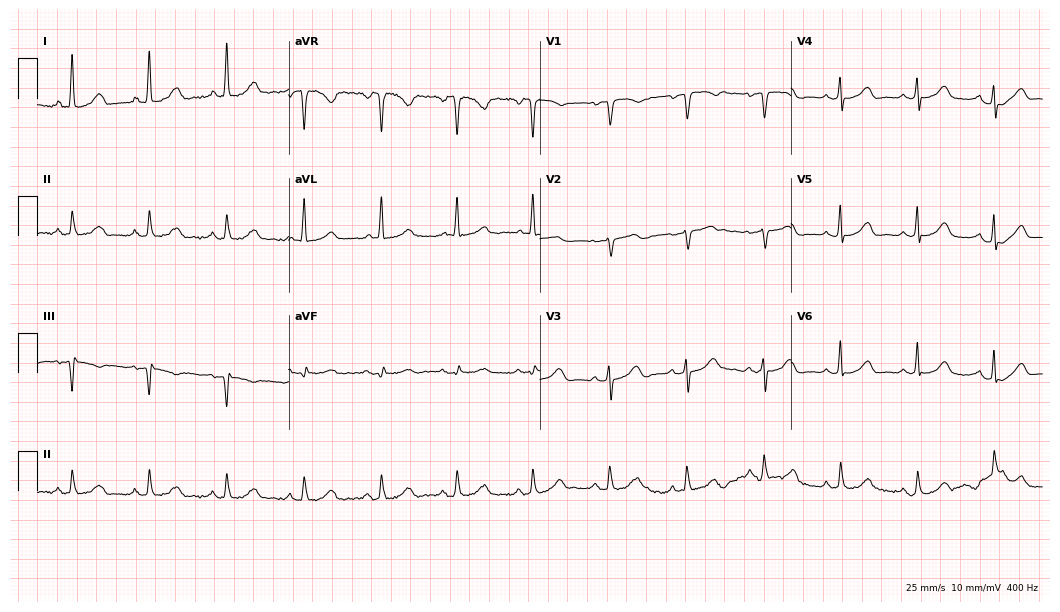
Electrocardiogram (10.2-second recording at 400 Hz), a 53-year-old woman. Overall reading on record: normal ECG.